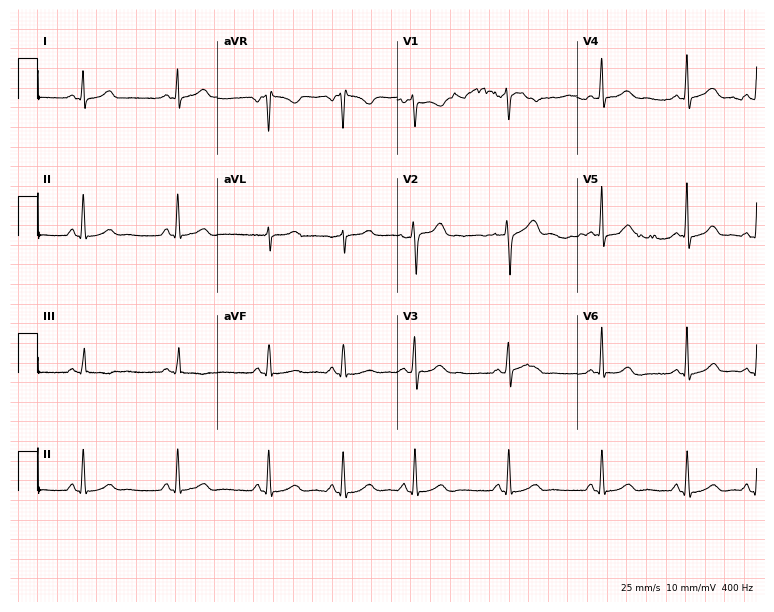
Standard 12-lead ECG recorded from a female, 20 years old (7.3-second recording at 400 Hz). Read as a normal ECG.